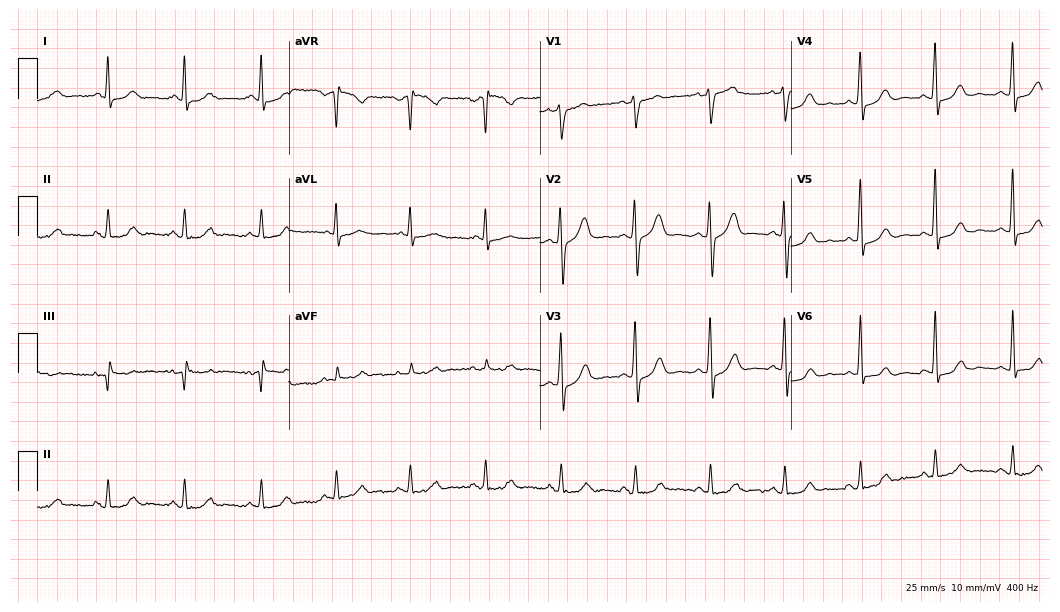
ECG — a man, 45 years old. Screened for six findings — first-degree AV block, right bundle branch block, left bundle branch block, sinus bradycardia, atrial fibrillation, sinus tachycardia — none is recorded.